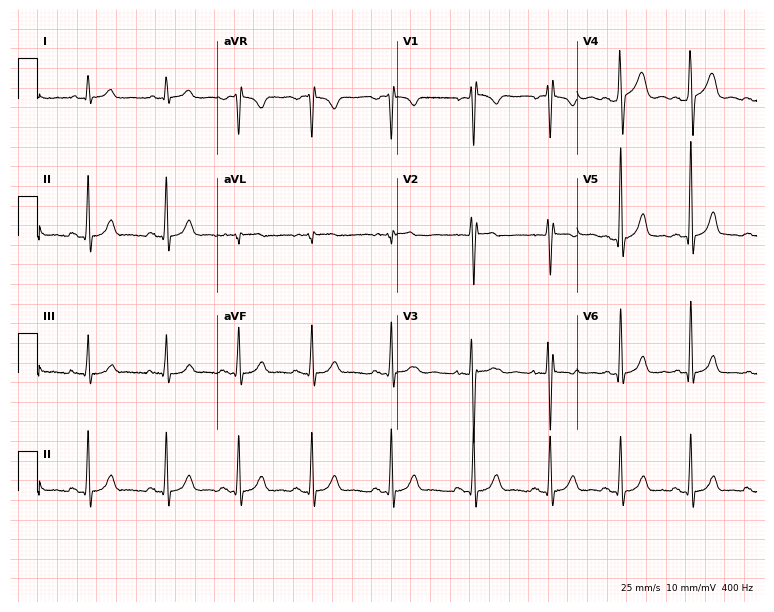
ECG — a male, 18 years old. Screened for six findings — first-degree AV block, right bundle branch block (RBBB), left bundle branch block (LBBB), sinus bradycardia, atrial fibrillation (AF), sinus tachycardia — none is recorded.